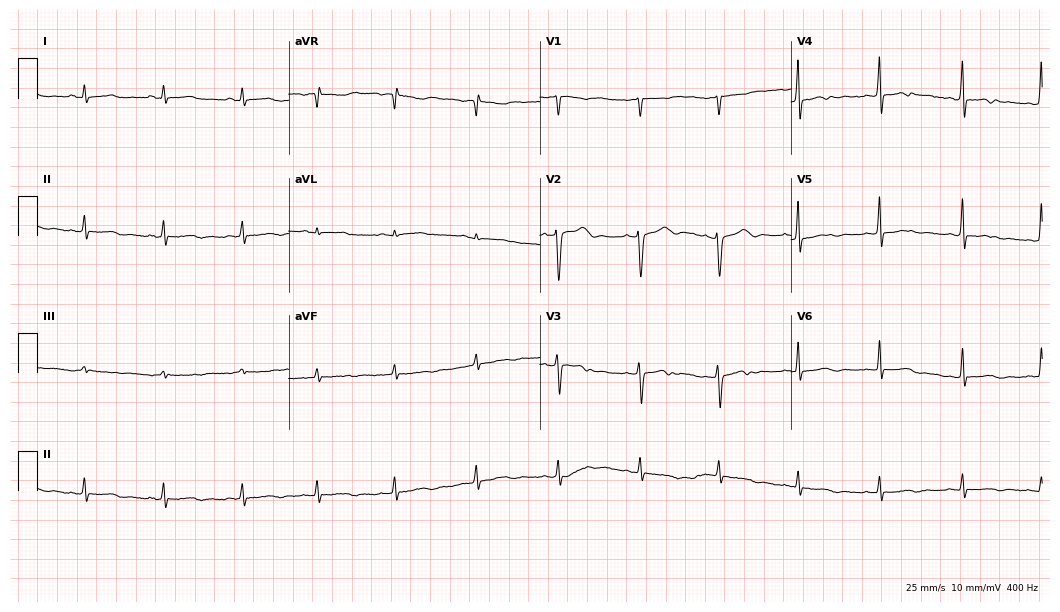
12-lead ECG from a female, 18 years old (10.2-second recording at 400 Hz). No first-degree AV block, right bundle branch block (RBBB), left bundle branch block (LBBB), sinus bradycardia, atrial fibrillation (AF) or sinus tachycardia recorded for this tracing. Other findings, if any, are not listed.